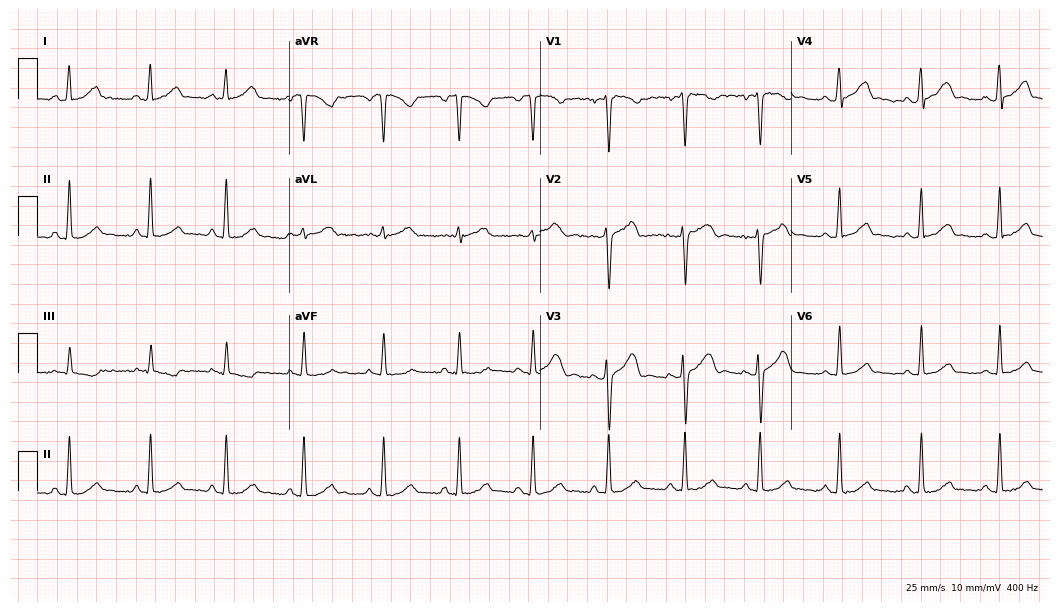
Resting 12-lead electrocardiogram (10.2-second recording at 400 Hz). Patient: a female, 23 years old. None of these six findings is recorded: first-degree AV block, right bundle branch block (RBBB), left bundle branch block (LBBB), sinus bradycardia, atrial fibrillation (AF), sinus tachycardia. Only these six findings were labelled.